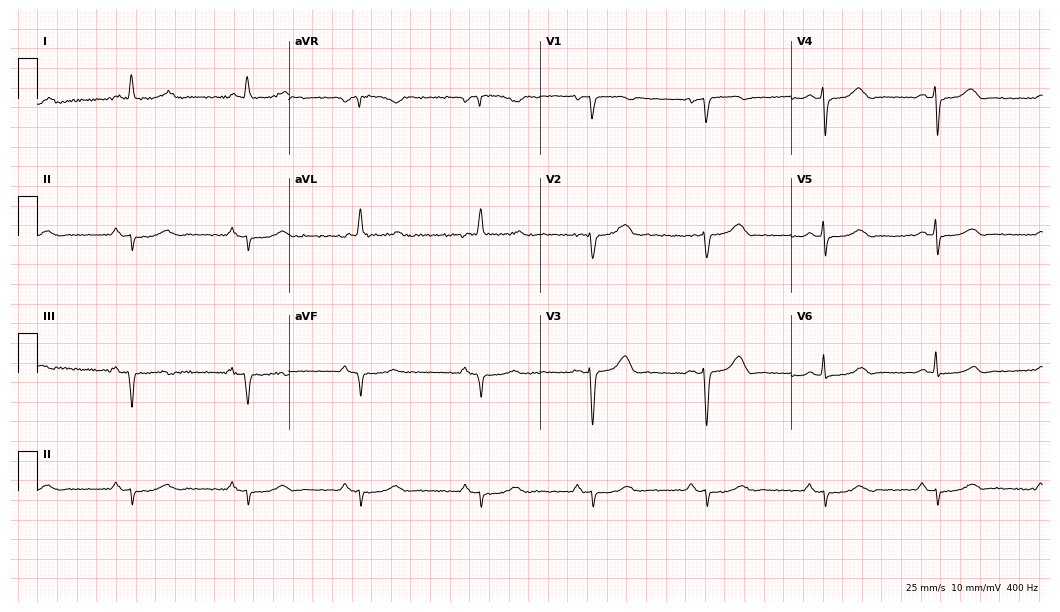
ECG (10.2-second recording at 400 Hz) — a 56-year-old female. Findings include right bundle branch block.